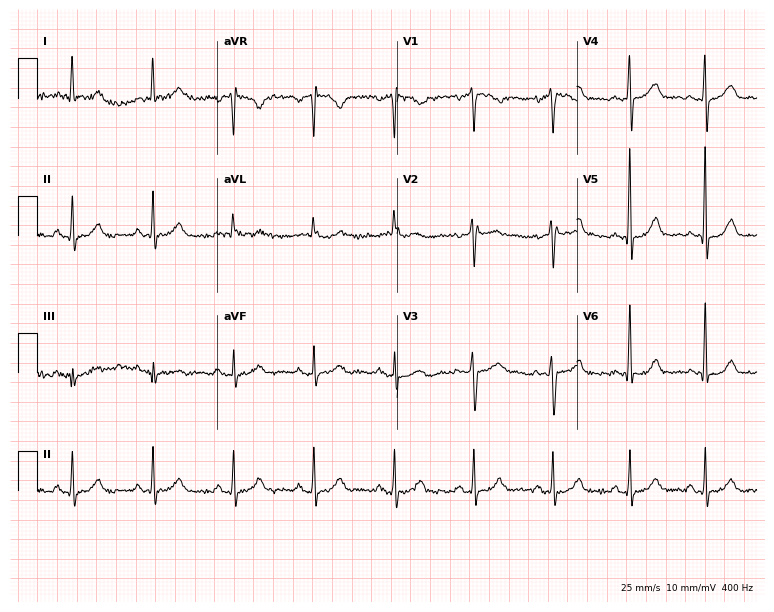
Standard 12-lead ECG recorded from a 68-year-old female (7.3-second recording at 400 Hz). None of these six findings is recorded: first-degree AV block, right bundle branch block (RBBB), left bundle branch block (LBBB), sinus bradycardia, atrial fibrillation (AF), sinus tachycardia. Only these six findings were labelled.